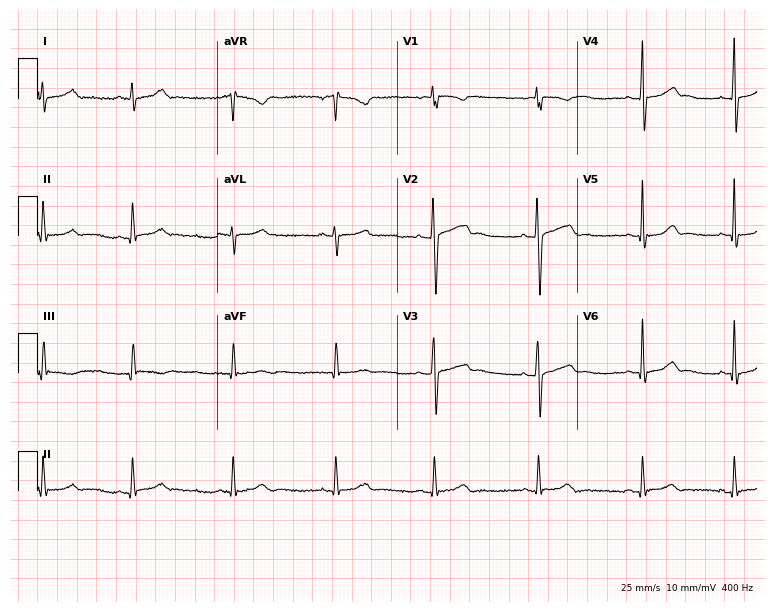
Electrocardiogram, a 20-year-old woman. Overall reading on record: normal ECG.